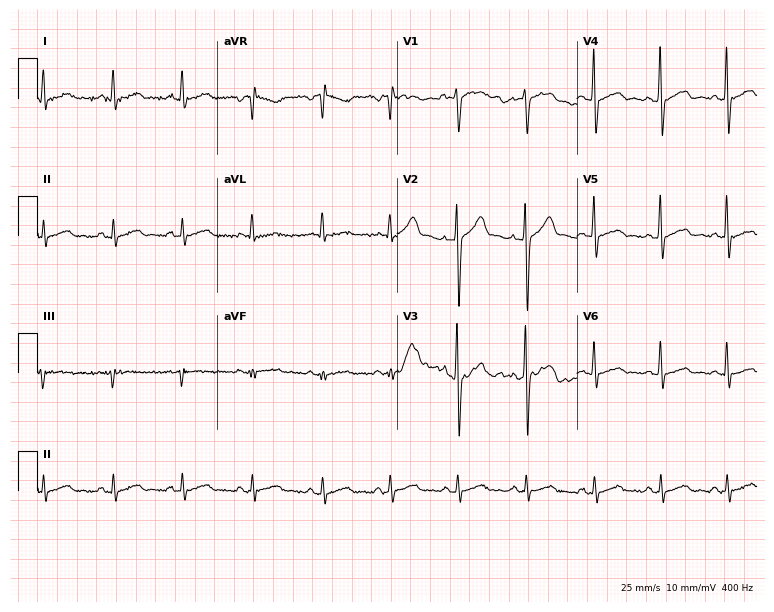
12-lead ECG from a male patient, 41 years old (7.3-second recording at 400 Hz). Recorded interpretation: within normal limits.